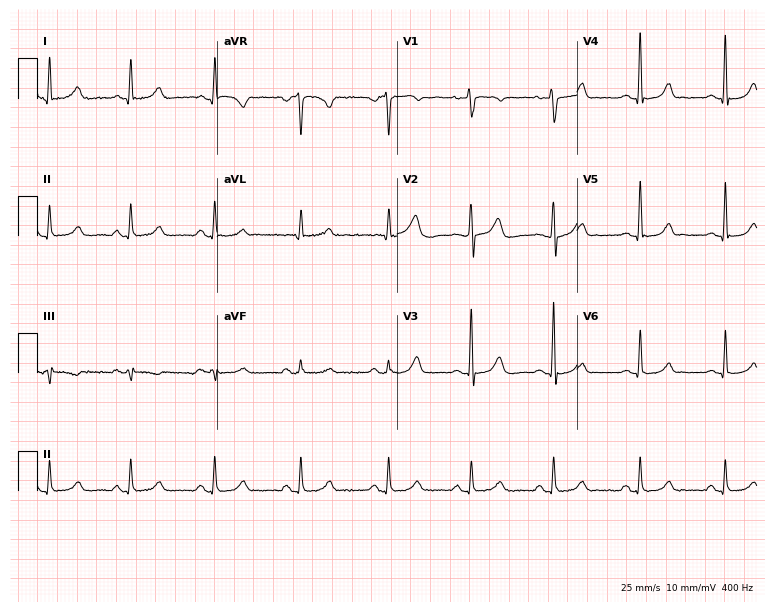
ECG — a woman, 46 years old. Labelled as a normal ECG.